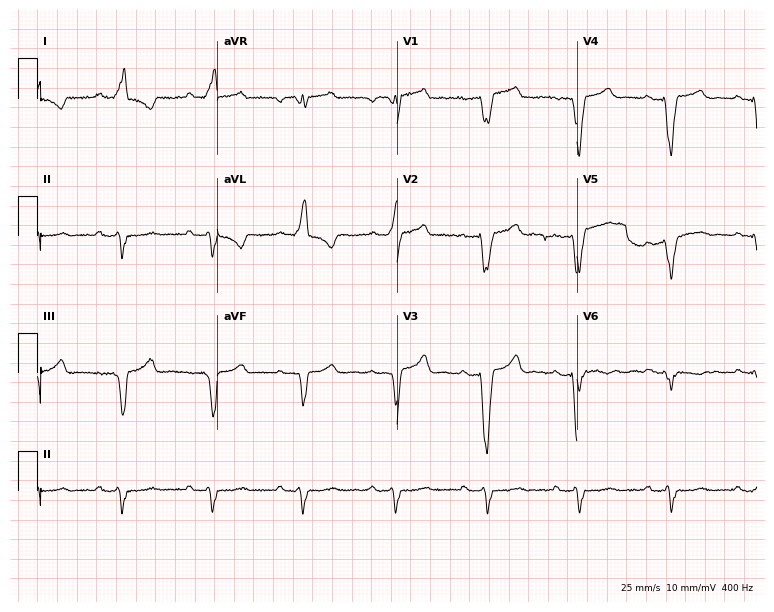
Electrocardiogram, a 55-year-old female patient. Of the six screened findings (first-degree AV block, right bundle branch block (RBBB), left bundle branch block (LBBB), sinus bradycardia, atrial fibrillation (AF), sinus tachycardia), none is recorded. Only these six findings were labelled.